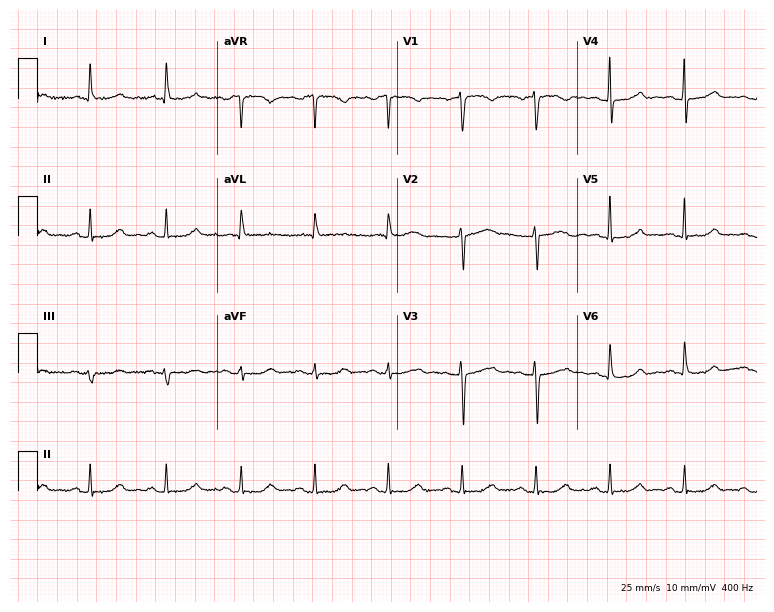
Standard 12-lead ECG recorded from a female patient, 64 years old (7.3-second recording at 400 Hz). Read as a normal ECG.